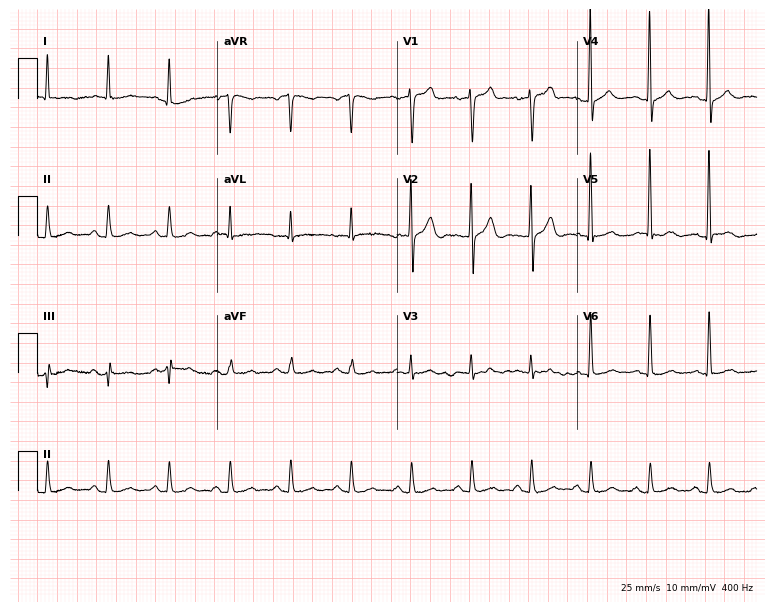
12-lead ECG (7.3-second recording at 400 Hz) from a man, 81 years old. Labelled as a normal ECG.